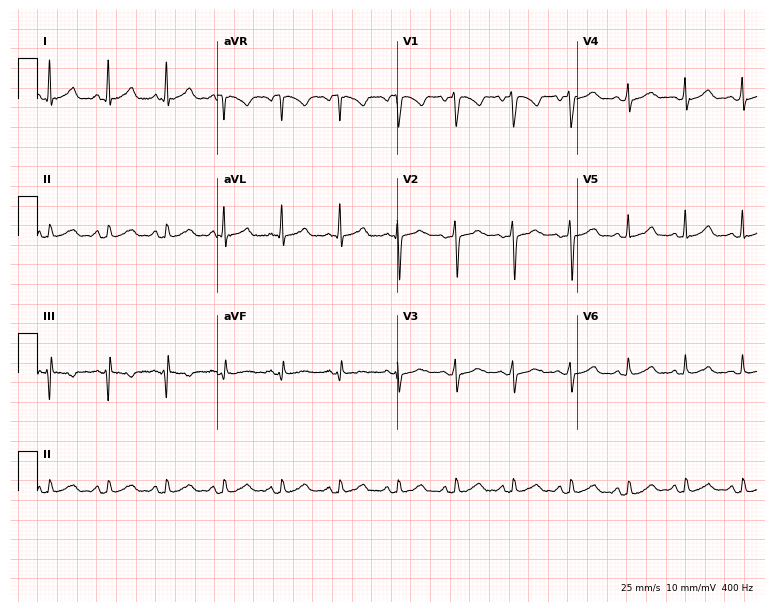
Standard 12-lead ECG recorded from a 43-year-old female patient. The tracing shows sinus tachycardia (a sinus rate of 100 beats per minute or more).